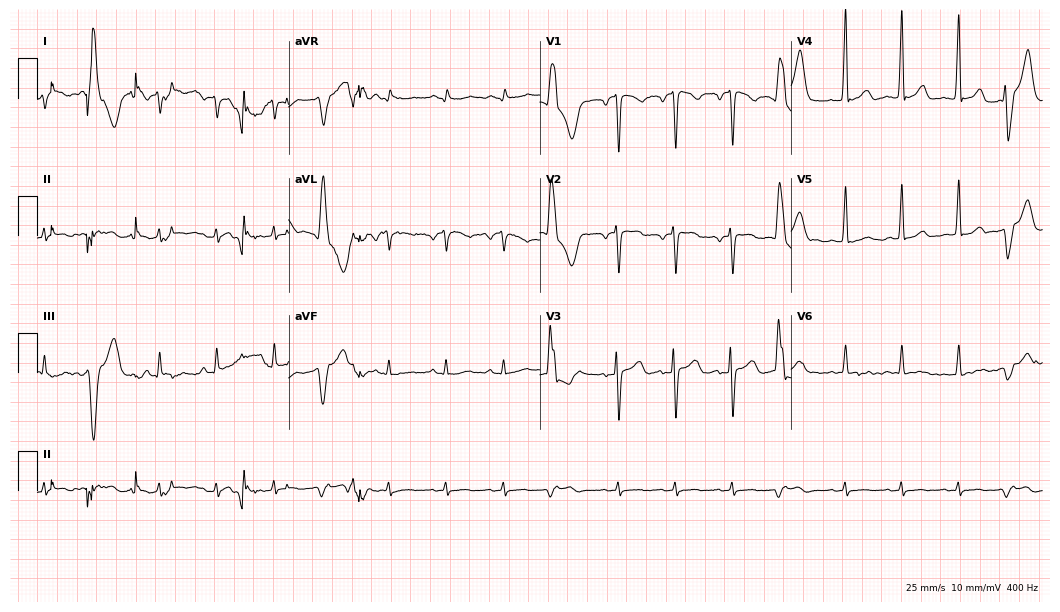
Resting 12-lead electrocardiogram (10.2-second recording at 400 Hz). Patient: an 80-year-old woman. None of these six findings is recorded: first-degree AV block, right bundle branch block, left bundle branch block, sinus bradycardia, atrial fibrillation, sinus tachycardia.